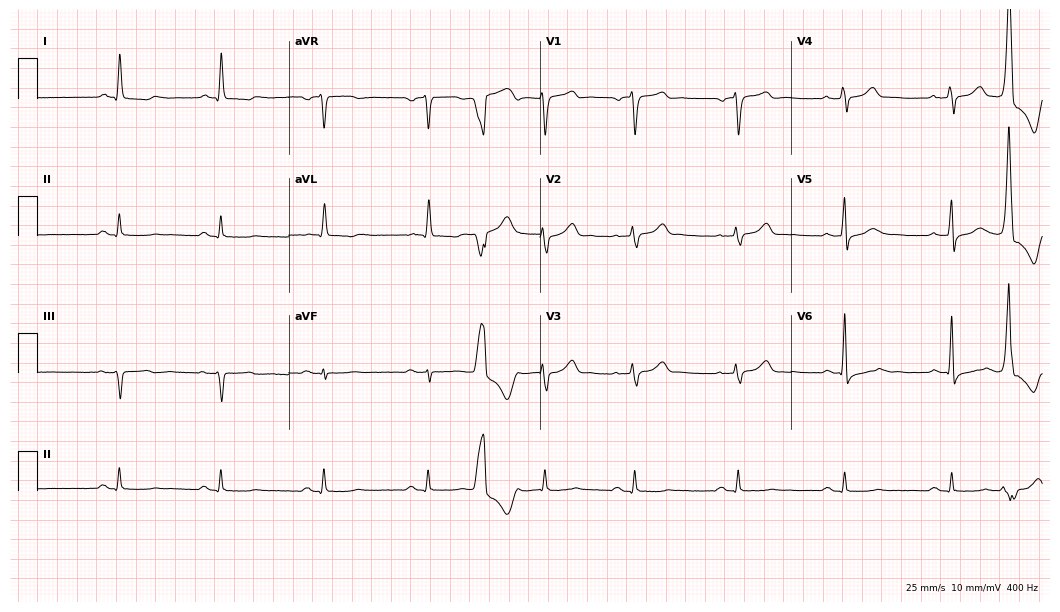
12-lead ECG from a 61-year-old man. No first-degree AV block, right bundle branch block, left bundle branch block, sinus bradycardia, atrial fibrillation or sinus tachycardia recorded for this tracing. Findings outside these six are not listed.